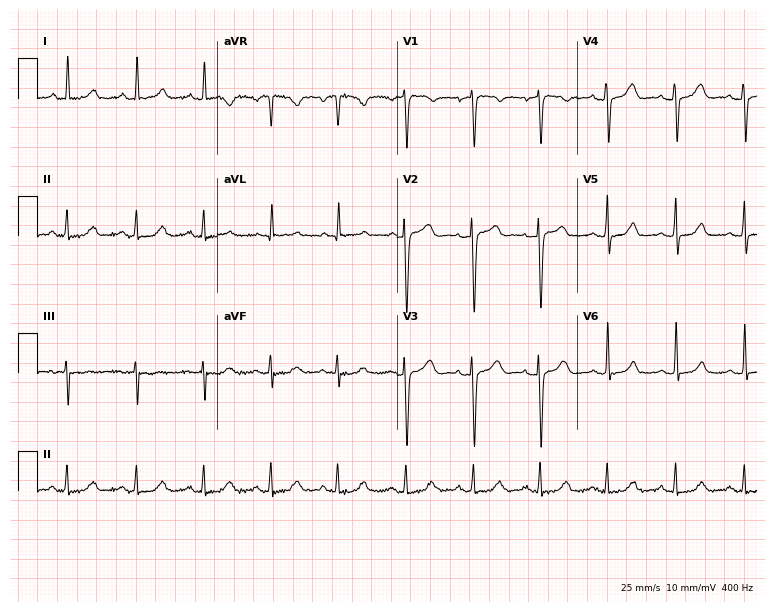
12-lead ECG (7.3-second recording at 400 Hz) from a 59-year-old woman. Screened for six findings — first-degree AV block, right bundle branch block, left bundle branch block, sinus bradycardia, atrial fibrillation, sinus tachycardia — none is recorded.